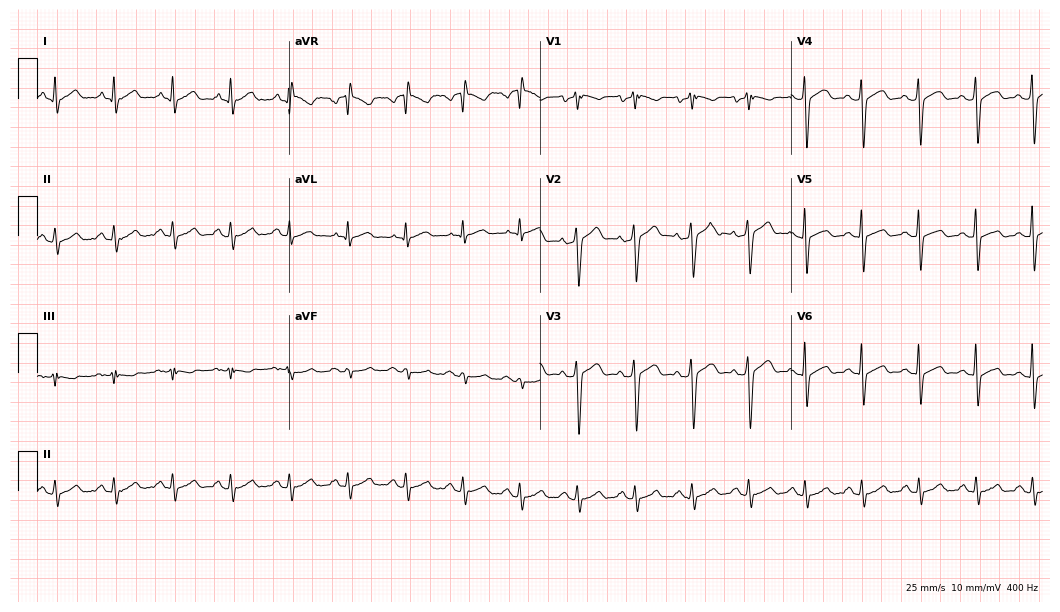
12-lead ECG from a man, 50 years old (10.2-second recording at 400 Hz). Shows sinus tachycardia (a sinus rate of 100 beats per minute or more).